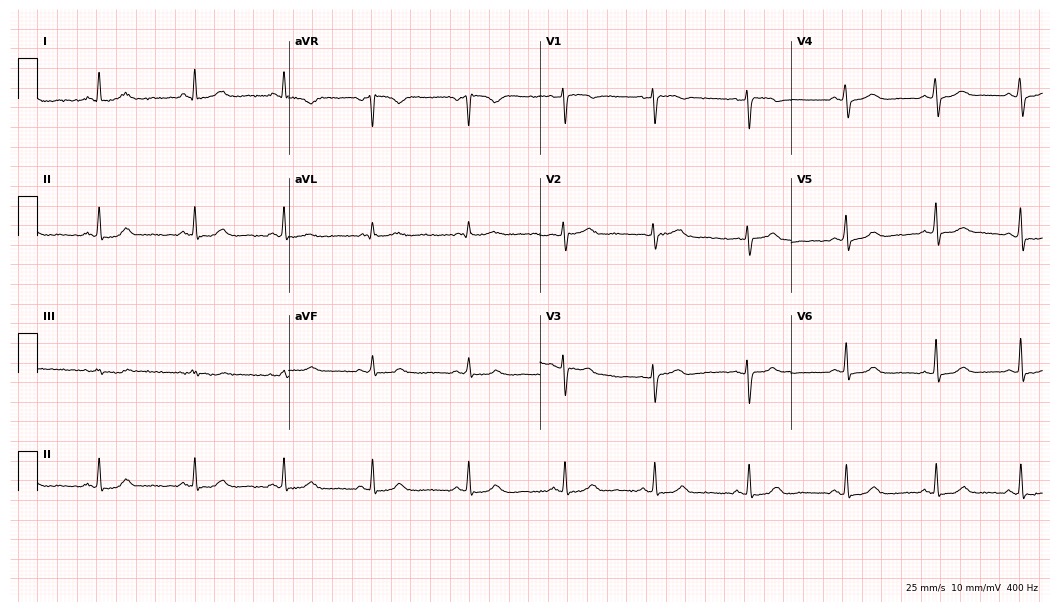
12-lead ECG from a 50-year-old female patient. Labelled as a normal ECG.